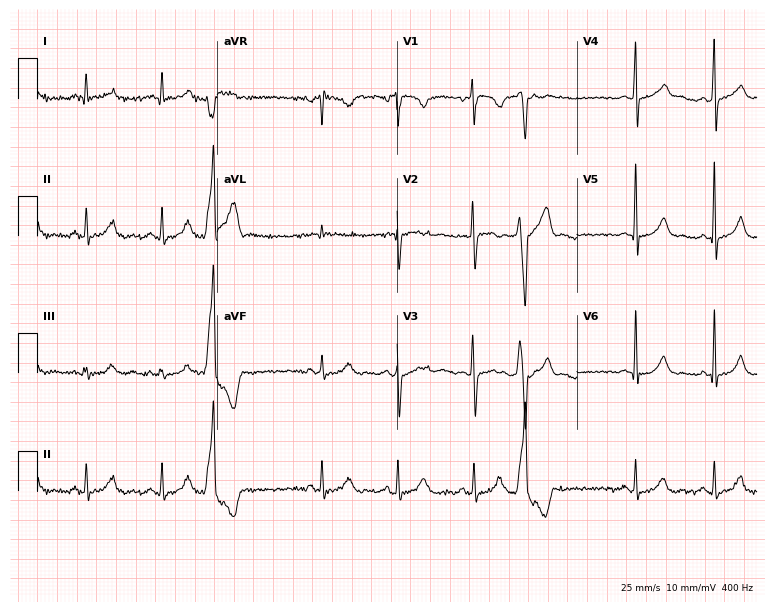
12-lead ECG from a 47-year-old woman. Screened for six findings — first-degree AV block, right bundle branch block (RBBB), left bundle branch block (LBBB), sinus bradycardia, atrial fibrillation (AF), sinus tachycardia — none is recorded. Other findings, if any, are not listed.